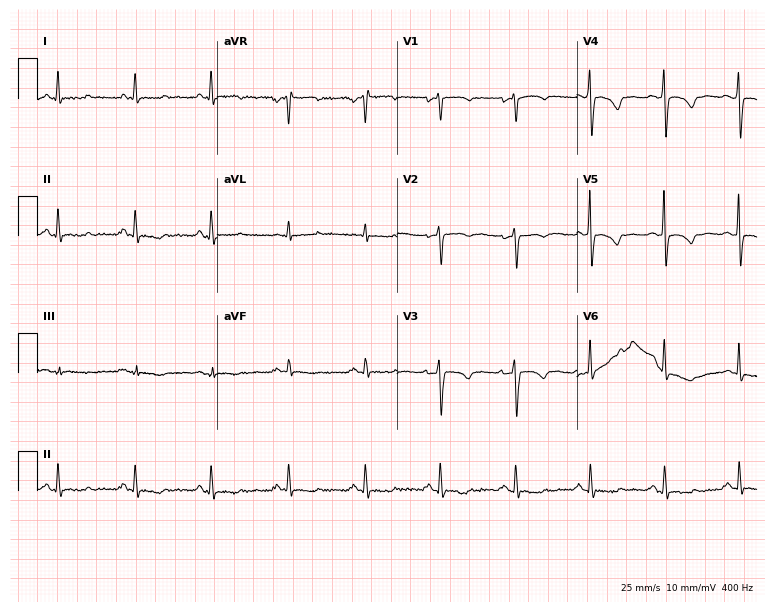
12-lead ECG (7.3-second recording at 400 Hz) from a 53-year-old female patient. Screened for six findings — first-degree AV block, right bundle branch block, left bundle branch block, sinus bradycardia, atrial fibrillation, sinus tachycardia — none is recorded.